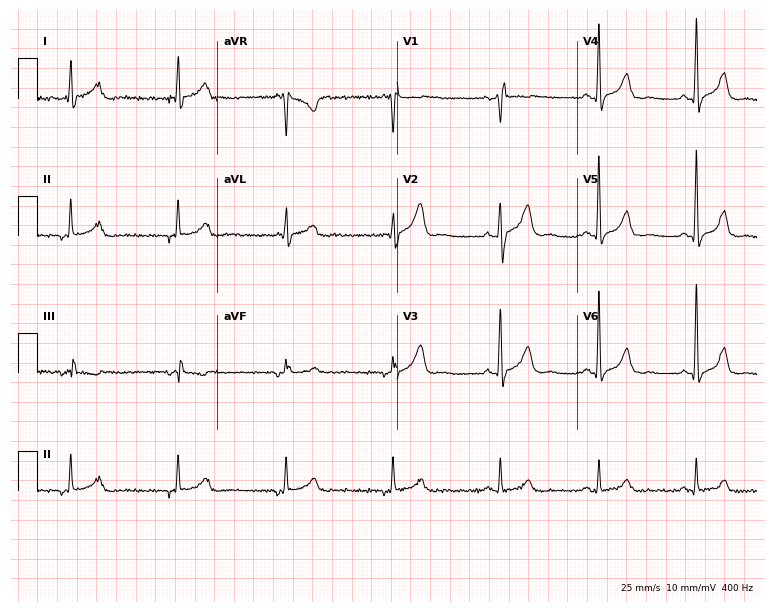
12-lead ECG from a man, 74 years old (7.3-second recording at 400 Hz). No first-degree AV block, right bundle branch block (RBBB), left bundle branch block (LBBB), sinus bradycardia, atrial fibrillation (AF) or sinus tachycardia recorded for this tracing.